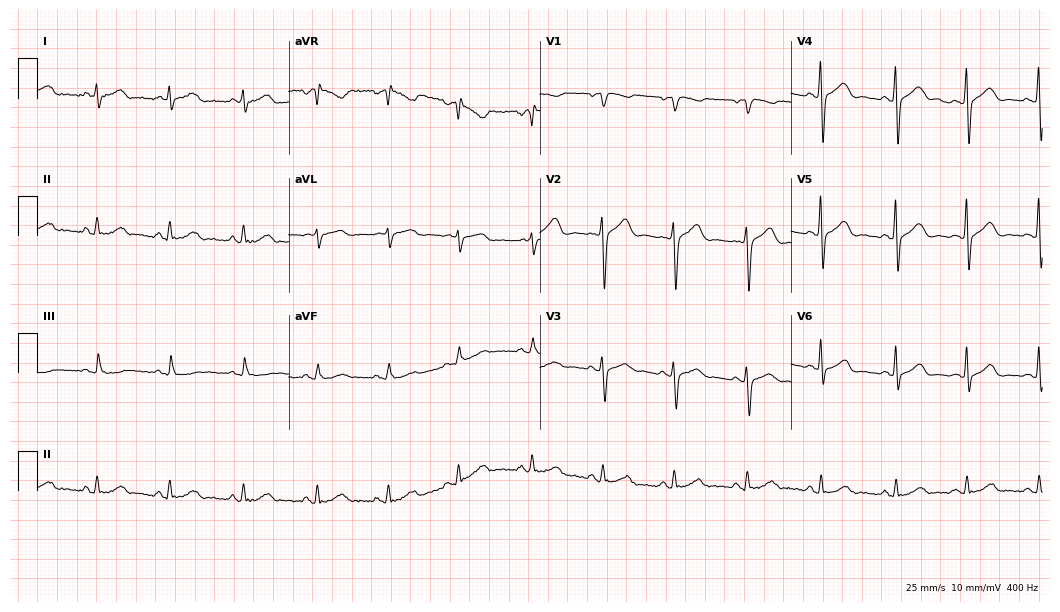
12-lead ECG (10.2-second recording at 400 Hz) from a 65-year-old male patient. Labelled as a normal ECG.